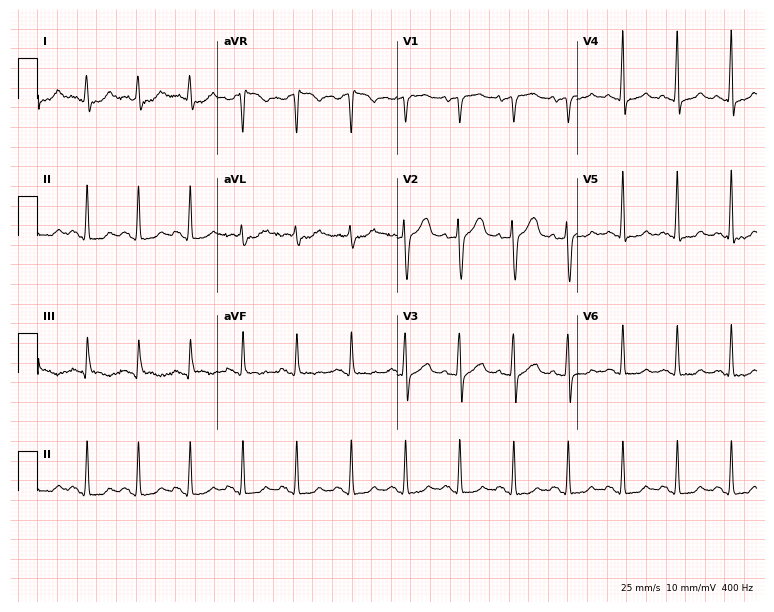
Electrocardiogram, a 44-year-old man. Of the six screened findings (first-degree AV block, right bundle branch block (RBBB), left bundle branch block (LBBB), sinus bradycardia, atrial fibrillation (AF), sinus tachycardia), none is recorded. Only these six findings were labelled.